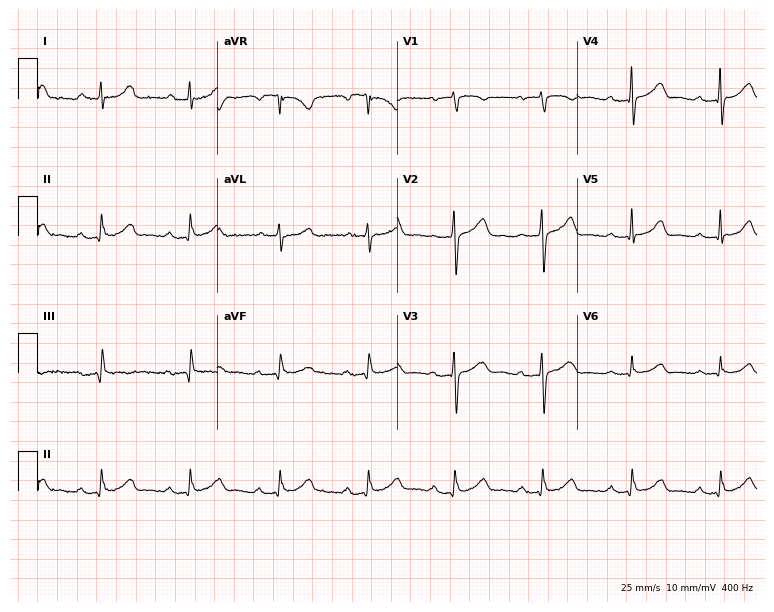
12-lead ECG from a 59-year-old female. Shows first-degree AV block.